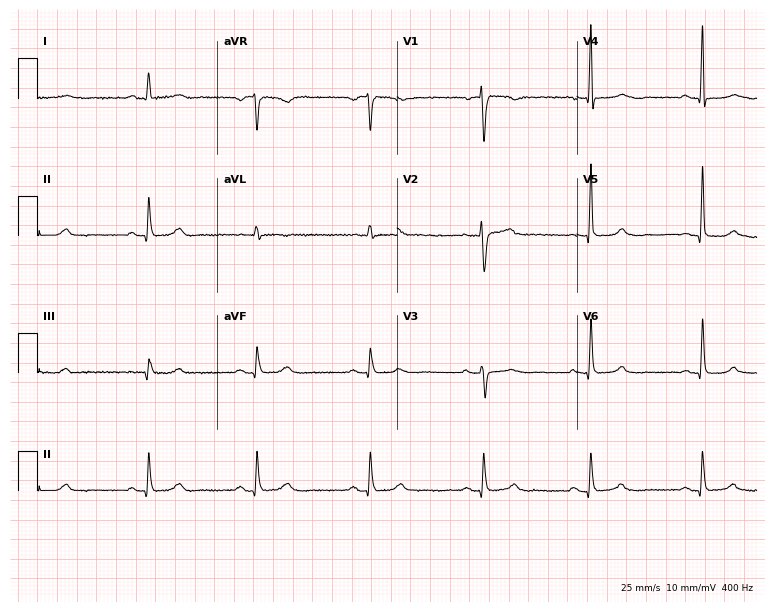
Standard 12-lead ECG recorded from a woman, 60 years old (7.3-second recording at 400 Hz). None of these six findings is recorded: first-degree AV block, right bundle branch block, left bundle branch block, sinus bradycardia, atrial fibrillation, sinus tachycardia.